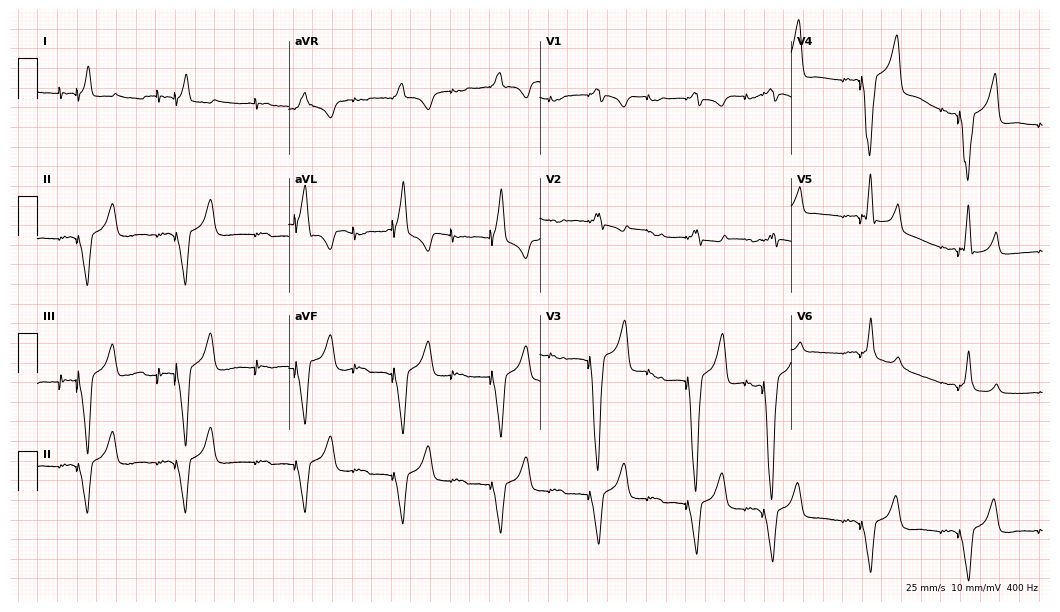
ECG (10.2-second recording at 400 Hz) — a male, 75 years old. Screened for six findings — first-degree AV block, right bundle branch block, left bundle branch block, sinus bradycardia, atrial fibrillation, sinus tachycardia — none is recorded.